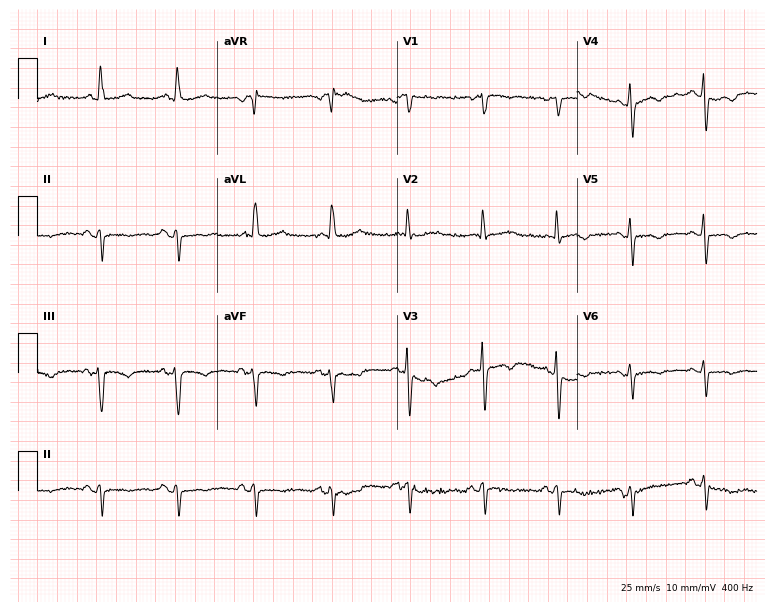
Standard 12-lead ECG recorded from a 78-year-old female. None of these six findings is recorded: first-degree AV block, right bundle branch block (RBBB), left bundle branch block (LBBB), sinus bradycardia, atrial fibrillation (AF), sinus tachycardia.